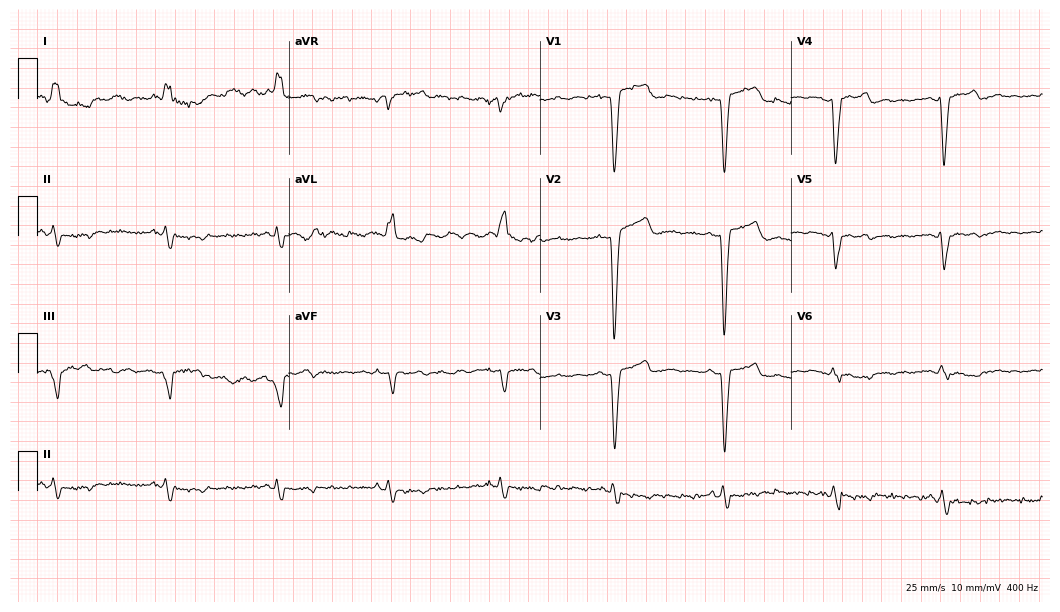
ECG (10.2-second recording at 400 Hz) — an 85-year-old female patient. Screened for six findings — first-degree AV block, right bundle branch block, left bundle branch block, sinus bradycardia, atrial fibrillation, sinus tachycardia — none is recorded.